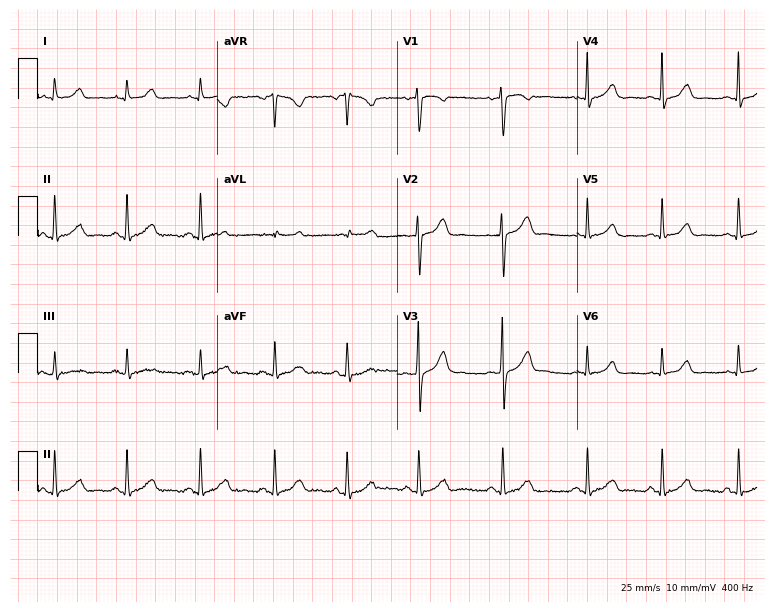
Electrocardiogram, a 20-year-old woman. Overall reading on record: normal ECG.